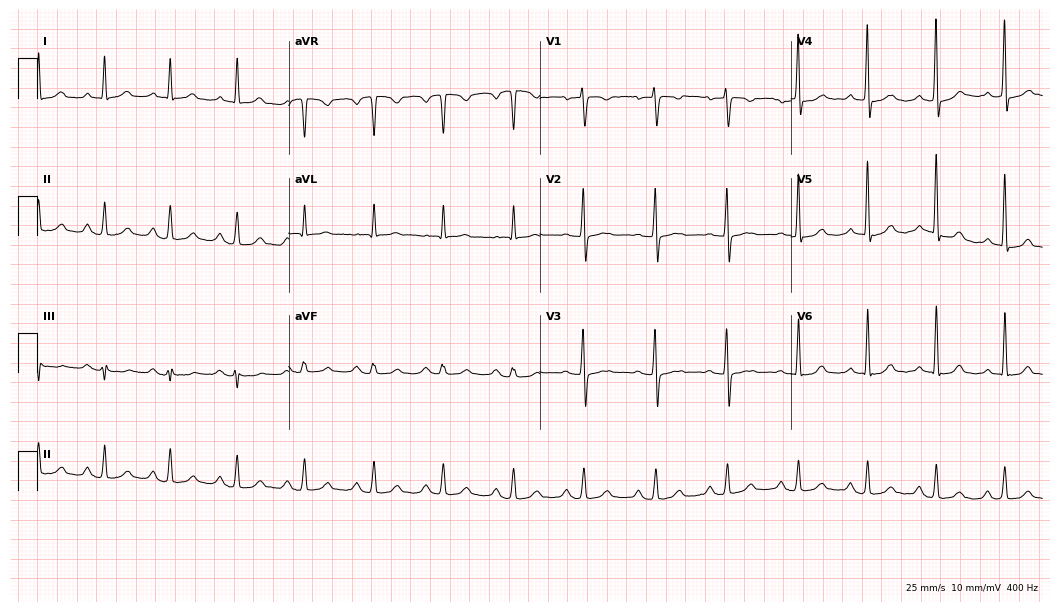
12-lead ECG from a 63-year-old female. Labelled as a normal ECG.